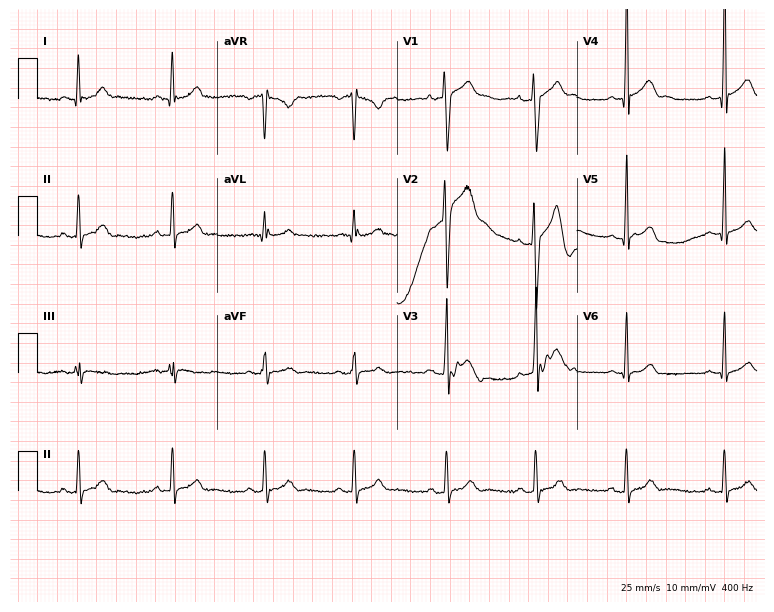
12-lead ECG from a man, 27 years old. No first-degree AV block, right bundle branch block (RBBB), left bundle branch block (LBBB), sinus bradycardia, atrial fibrillation (AF) or sinus tachycardia recorded for this tracing.